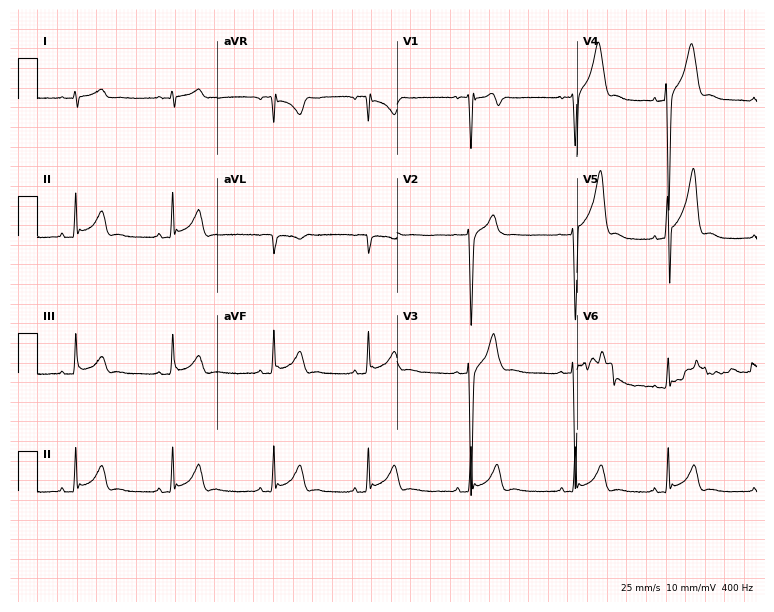
12-lead ECG from an 18-year-old man. Recorded interpretation: within normal limits.